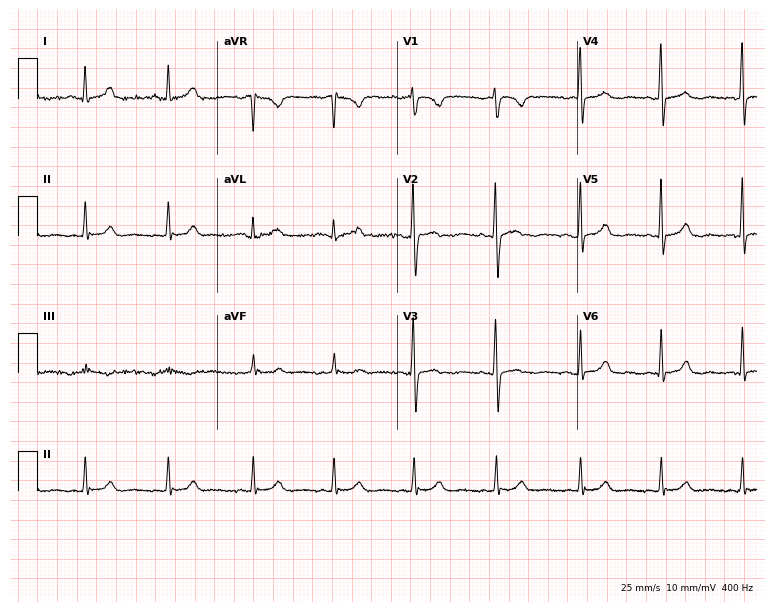
12-lead ECG from a female patient, 41 years old (7.3-second recording at 400 Hz). No first-degree AV block, right bundle branch block (RBBB), left bundle branch block (LBBB), sinus bradycardia, atrial fibrillation (AF) or sinus tachycardia recorded for this tracing.